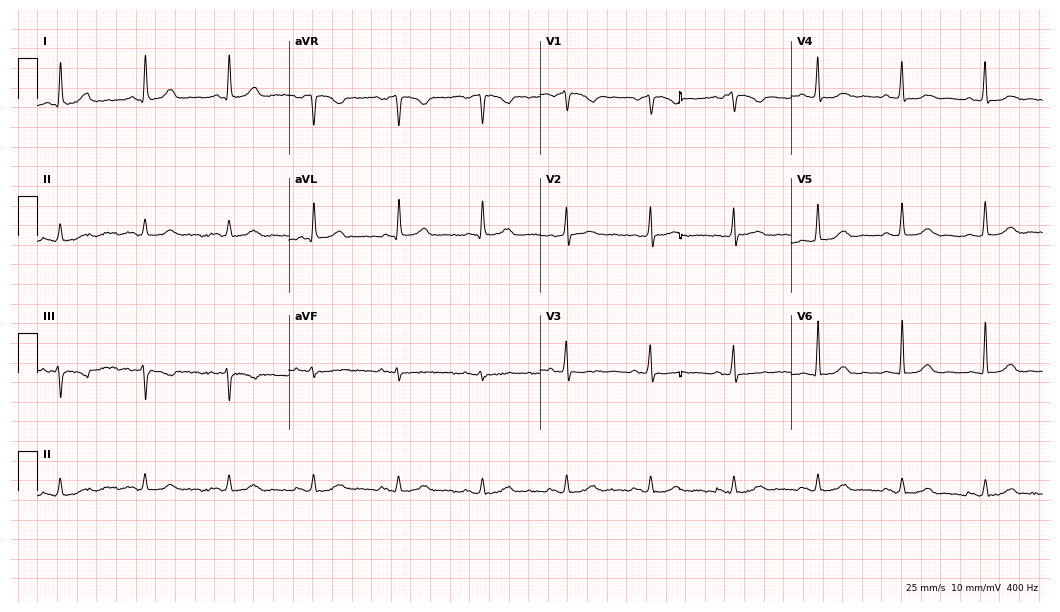
12-lead ECG from a 68-year-old woman. Screened for six findings — first-degree AV block, right bundle branch block, left bundle branch block, sinus bradycardia, atrial fibrillation, sinus tachycardia — none is recorded.